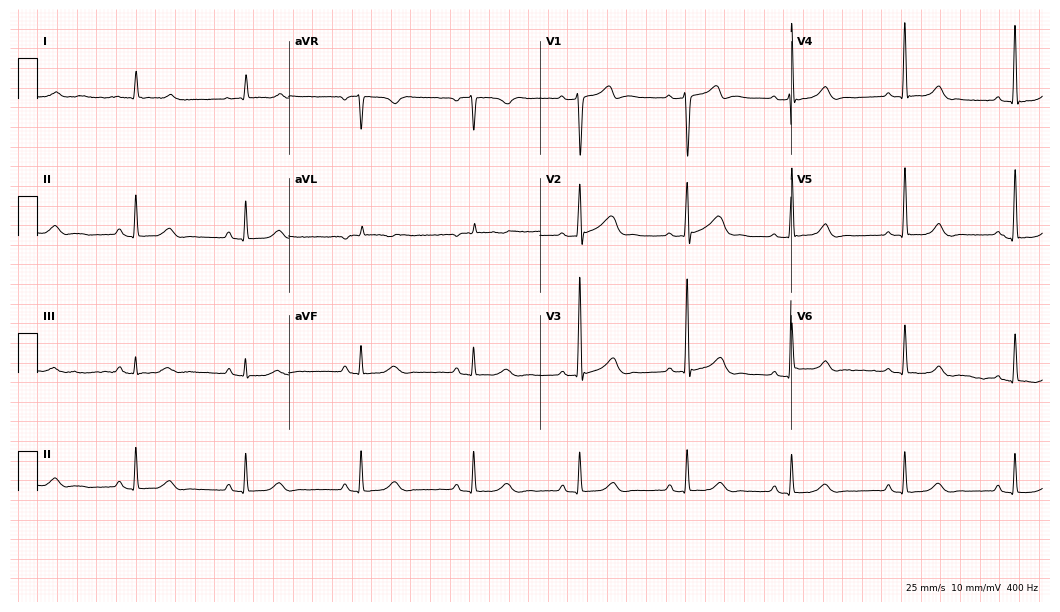
12-lead ECG from a 60-year-old male. Recorded interpretation: within normal limits.